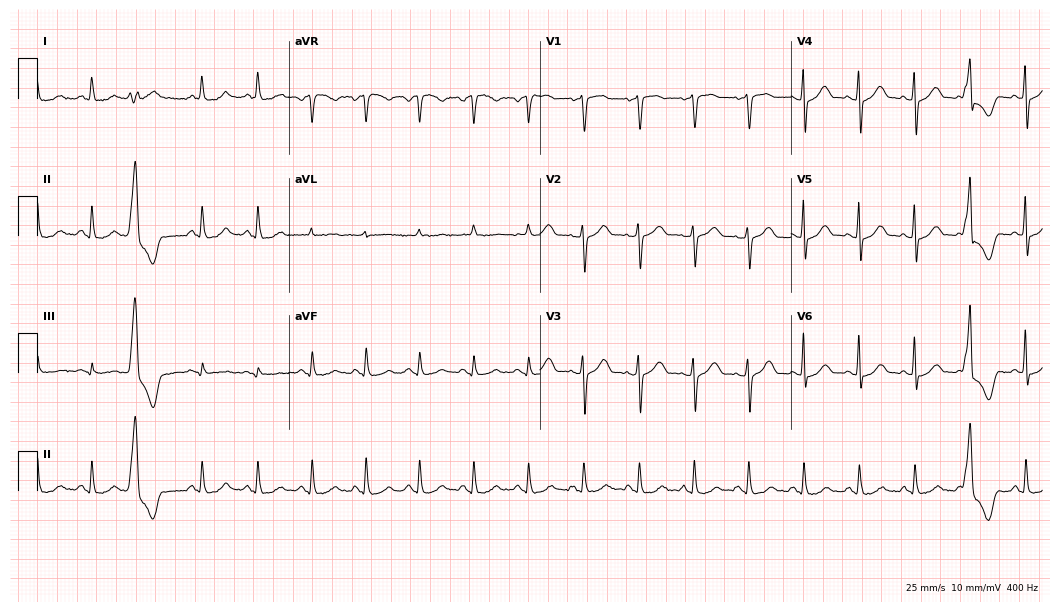
12-lead ECG from a 43-year-old woman (10.2-second recording at 400 Hz). No first-degree AV block, right bundle branch block (RBBB), left bundle branch block (LBBB), sinus bradycardia, atrial fibrillation (AF) or sinus tachycardia recorded for this tracing.